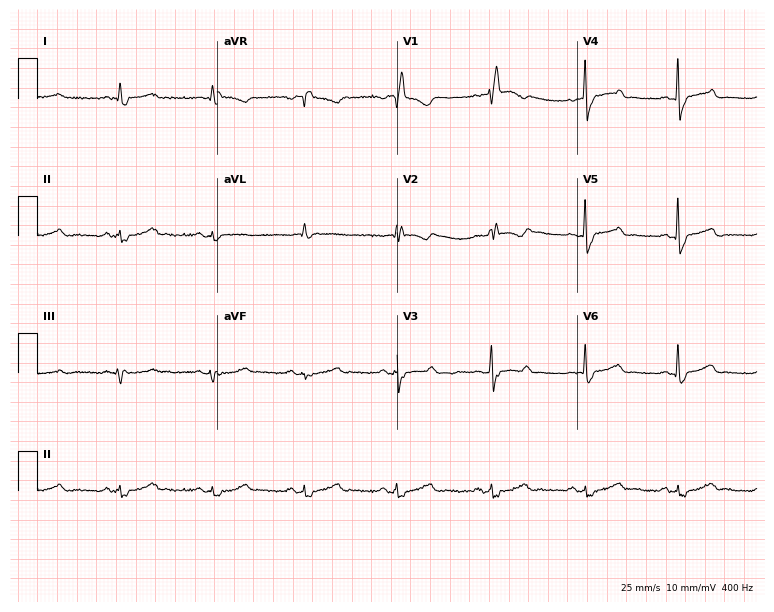
ECG (7.3-second recording at 400 Hz) — an 81-year-old female patient. Findings include right bundle branch block (RBBB).